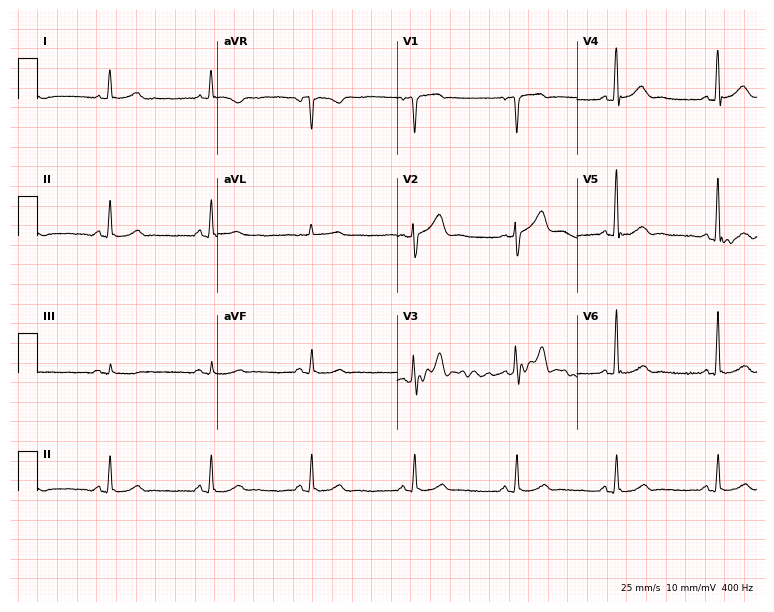
Electrocardiogram, a male, 63 years old. Overall reading on record: normal ECG.